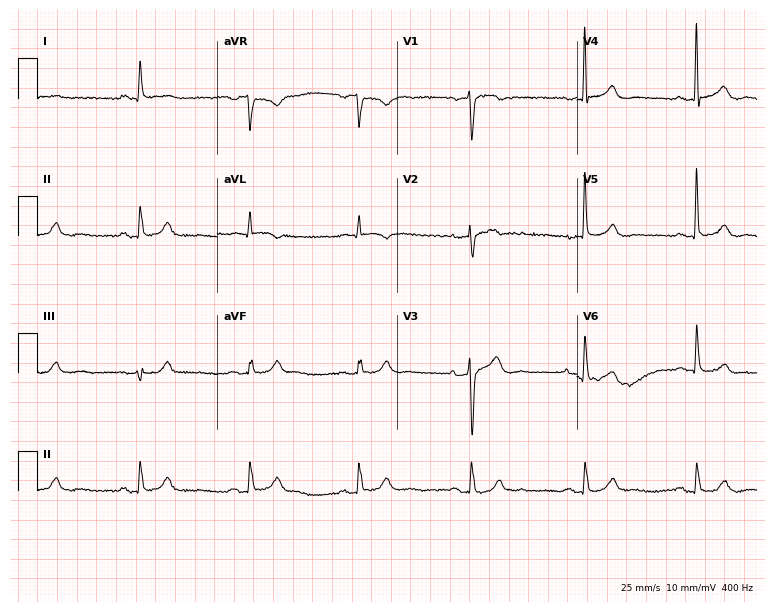
12-lead ECG from a male, 76 years old. Recorded interpretation: within normal limits.